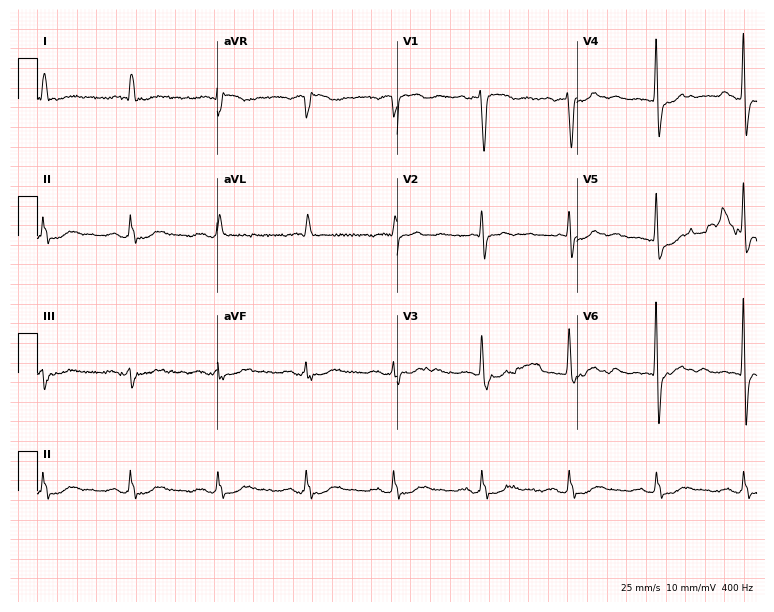
12-lead ECG from a 70-year-old male. Screened for six findings — first-degree AV block, right bundle branch block, left bundle branch block, sinus bradycardia, atrial fibrillation, sinus tachycardia — none is recorded. Only these six findings were labelled.